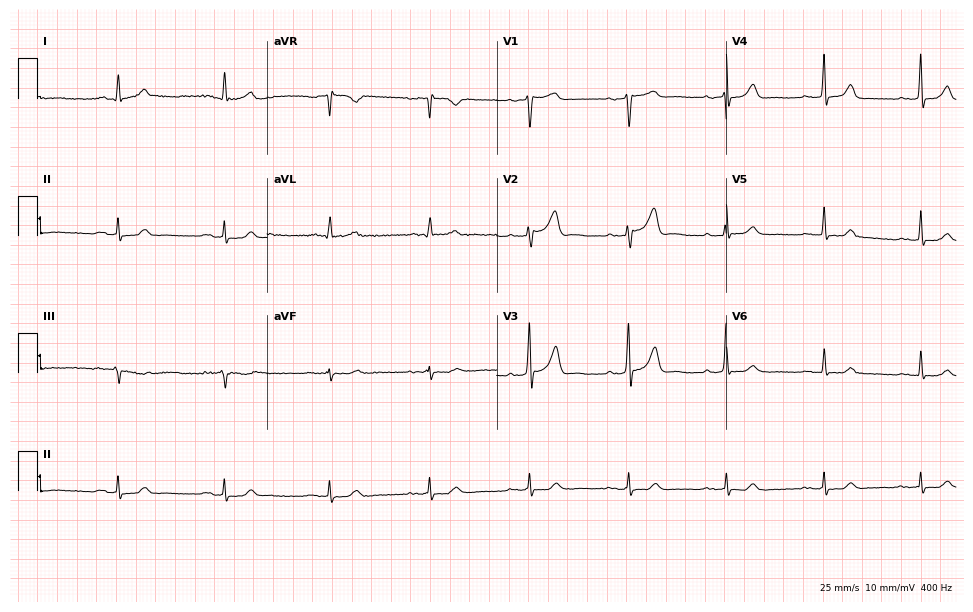
12-lead ECG from a 66-year-old male. Shows first-degree AV block.